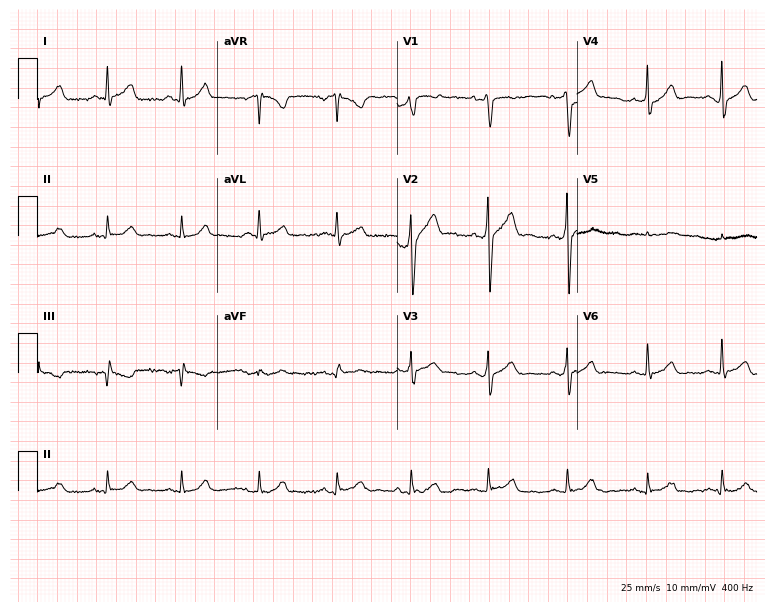
Electrocardiogram (7.3-second recording at 400 Hz), a 46-year-old male patient. Overall reading on record: normal ECG.